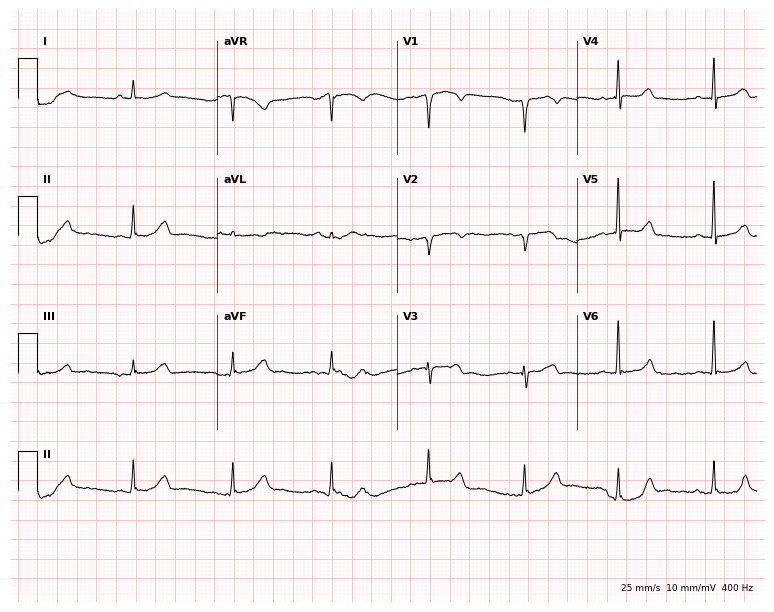
Standard 12-lead ECG recorded from a male, 87 years old. Read as a normal ECG.